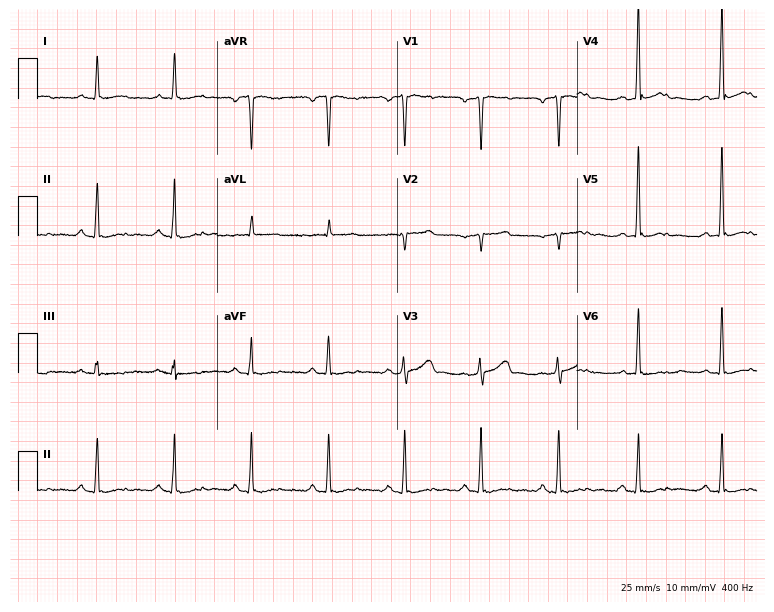
Standard 12-lead ECG recorded from a 45-year-old male (7.3-second recording at 400 Hz). None of these six findings is recorded: first-degree AV block, right bundle branch block, left bundle branch block, sinus bradycardia, atrial fibrillation, sinus tachycardia.